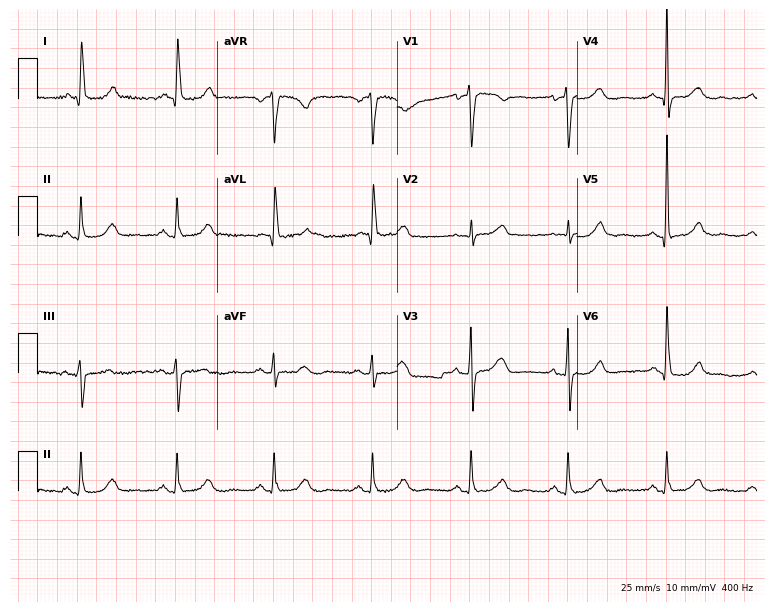
12-lead ECG from an 81-year-old female patient. Recorded interpretation: within normal limits.